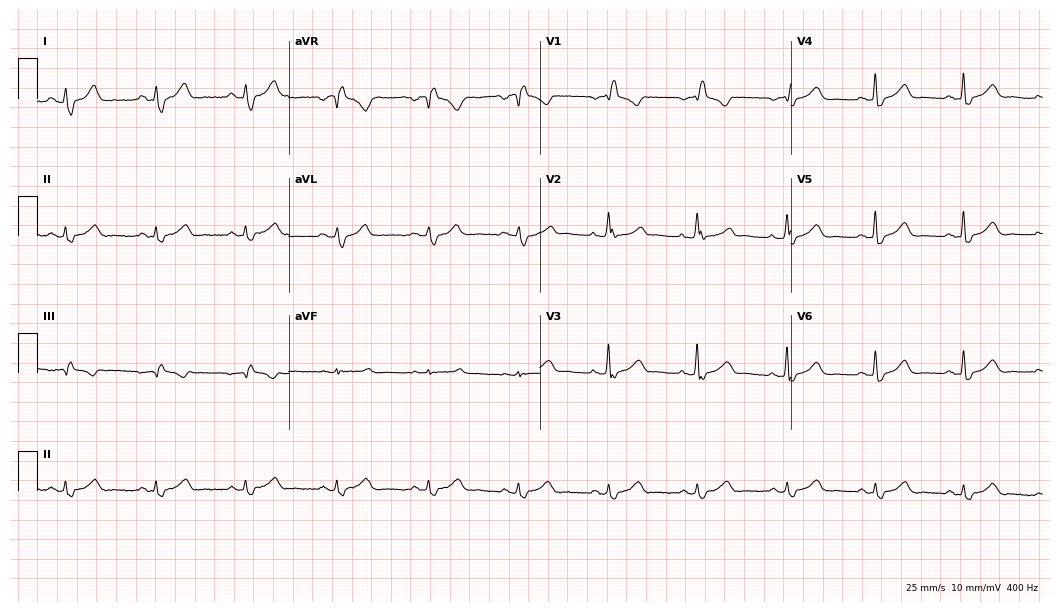
ECG — a female patient, 37 years old. Findings include right bundle branch block.